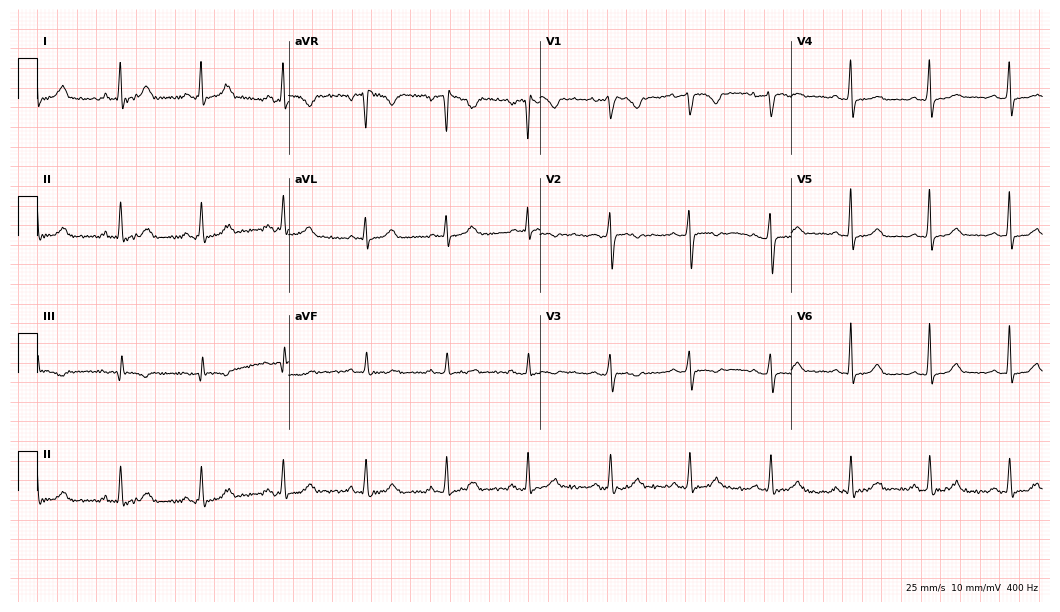
12-lead ECG from a 28-year-old woman. Recorded interpretation: within normal limits.